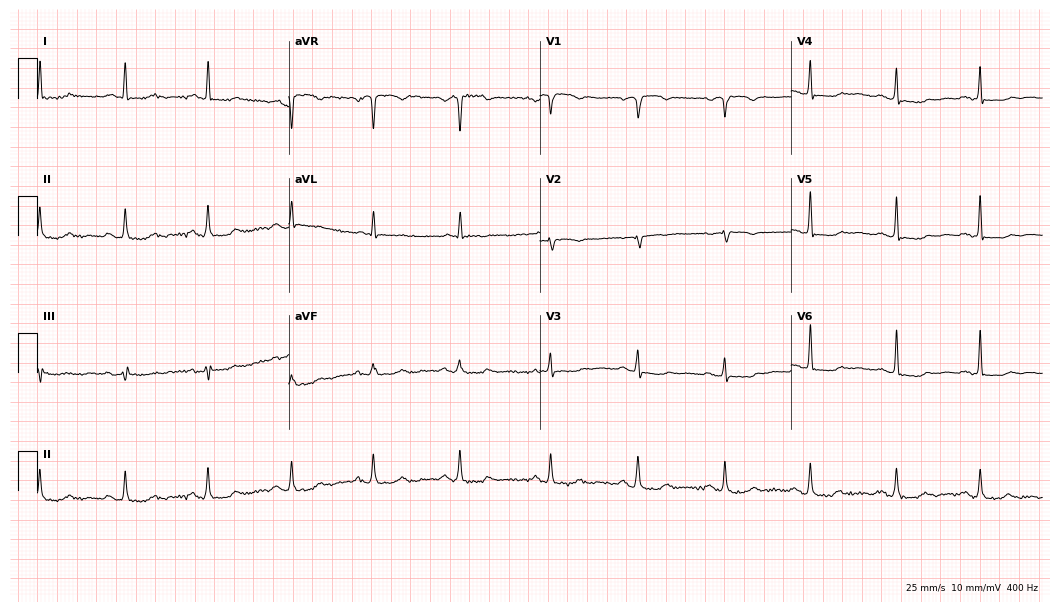
Standard 12-lead ECG recorded from a female, 73 years old. Read as a normal ECG.